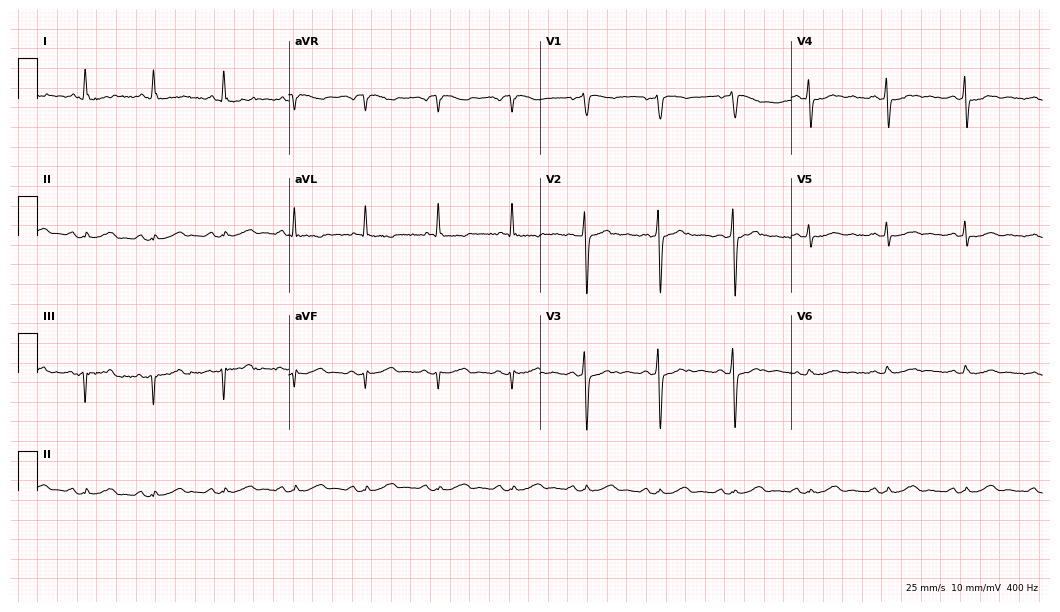
Resting 12-lead electrocardiogram. Patient: a 62-year-old woman. None of these six findings is recorded: first-degree AV block, right bundle branch block, left bundle branch block, sinus bradycardia, atrial fibrillation, sinus tachycardia. Other findings, if any, are not listed.